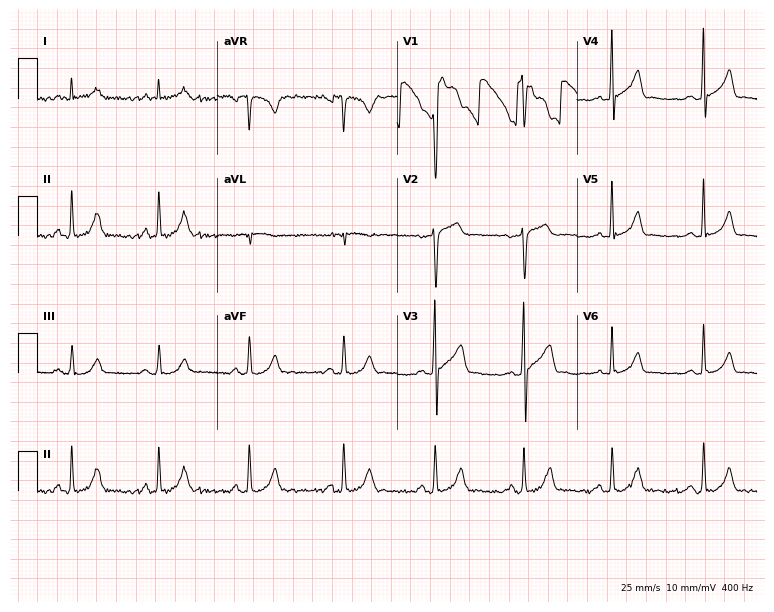
Standard 12-lead ECG recorded from a 51-year-old man. None of these six findings is recorded: first-degree AV block, right bundle branch block, left bundle branch block, sinus bradycardia, atrial fibrillation, sinus tachycardia.